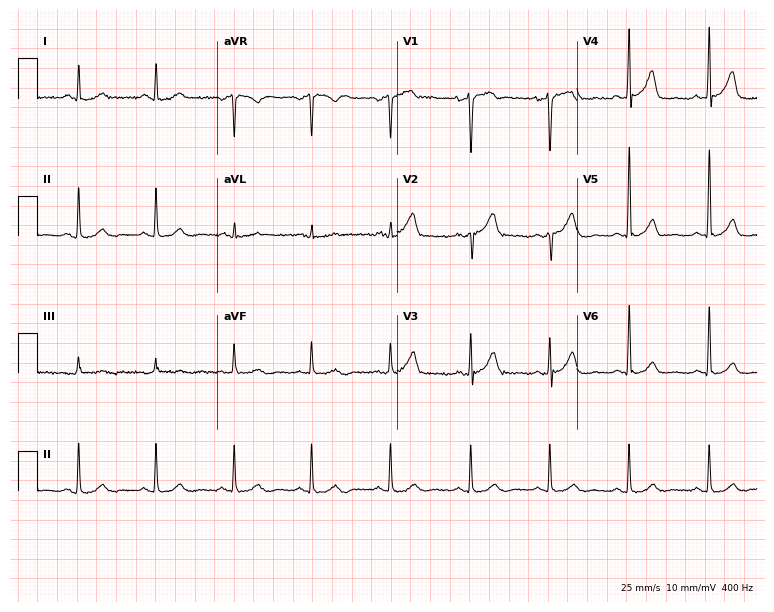
Standard 12-lead ECG recorded from a male, 55 years old. None of these six findings is recorded: first-degree AV block, right bundle branch block, left bundle branch block, sinus bradycardia, atrial fibrillation, sinus tachycardia.